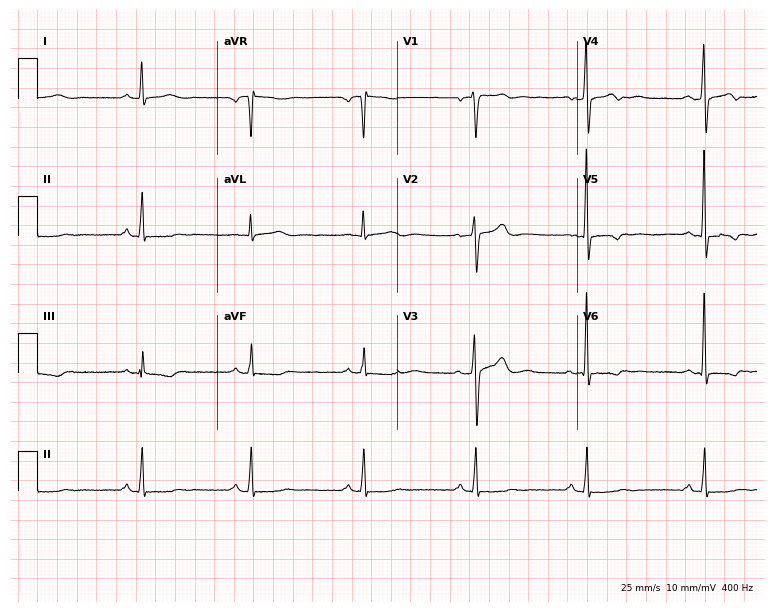
Electrocardiogram, a man, 51 years old. Of the six screened findings (first-degree AV block, right bundle branch block, left bundle branch block, sinus bradycardia, atrial fibrillation, sinus tachycardia), none is recorded.